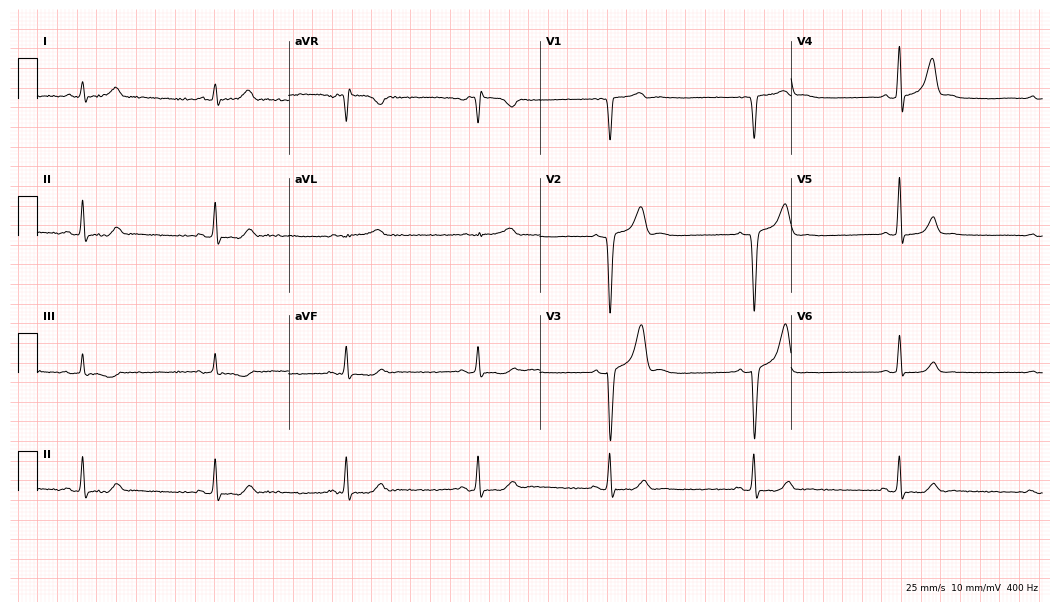
12-lead ECG from a male patient, 36 years old. Shows sinus bradycardia (a sinus rate of 50 beats per minute or less).